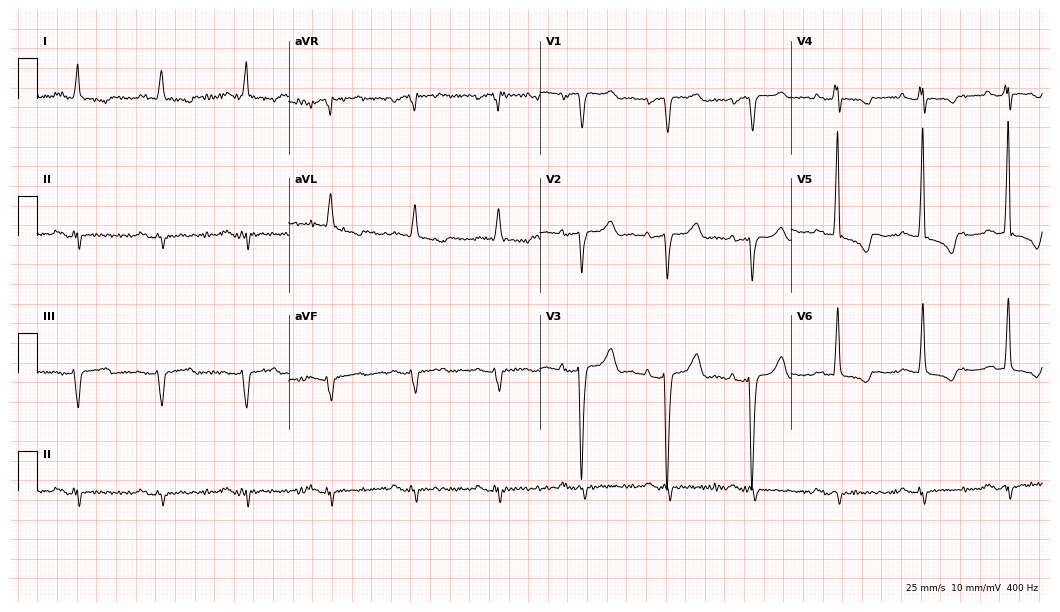
12-lead ECG from a man, 76 years old (10.2-second recording at 400 Hz). No first-degree AV block, right bundle branch block (RBBB), left bundle branch block (LBBB), sinus bradycardia, atrial fibrillation (AF) or sinus tachycardia recorded for this tracing. Other findings, if any, are not listed.